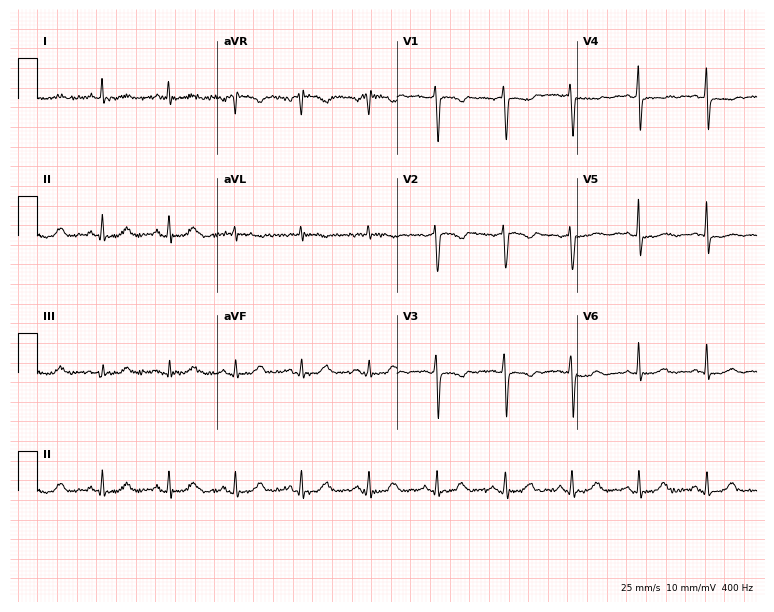
ECG (7.3-second recording at 400 Hz) — a female, 65 years old. Screened for six findings — first-degree AV block, right bundle branch block, left bundle branch block, sinus bradycardia, atrial fibrillation, sinus tachycardia — none is recorded. Findings outside these six are not listed.